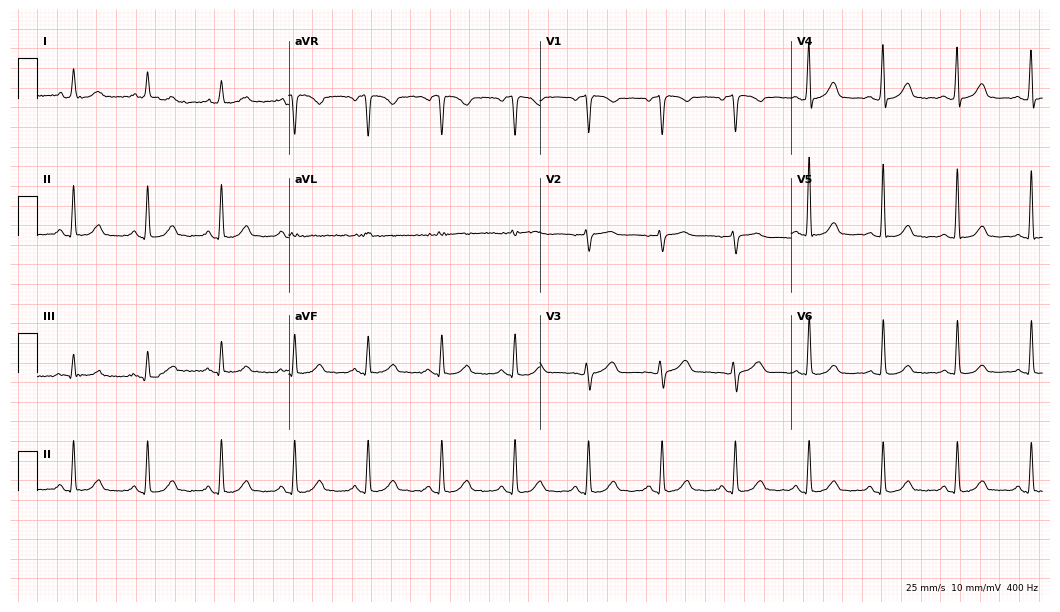
12-lead ECG (10.2-second recording at 400 Hz) from a 66-year-old female. Labelled as a normal ECG.